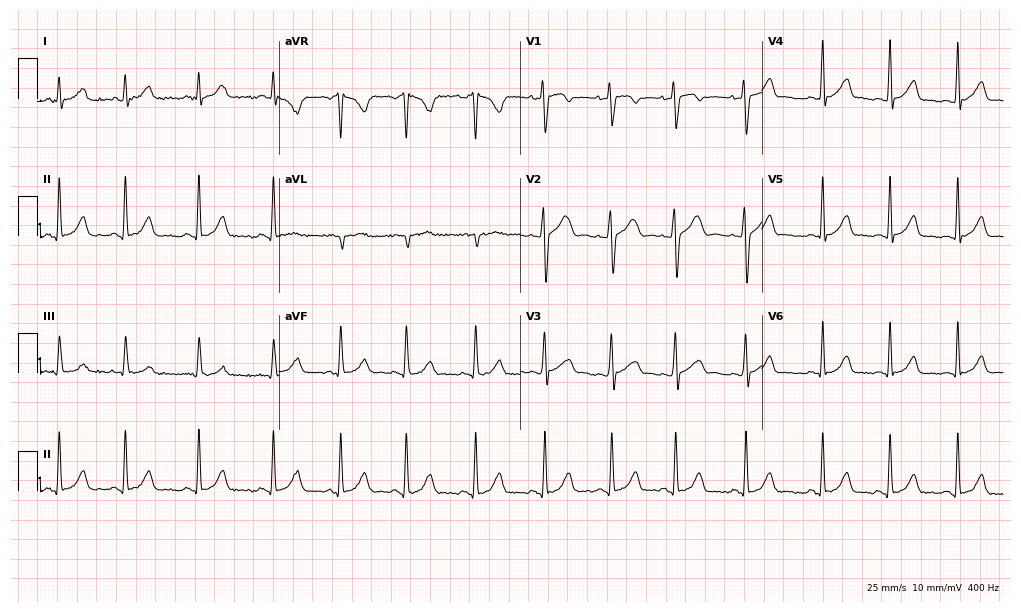
12-lead ECG (9.8-second recording at 400 Hz) from a female, 17 years old. Labelled as a normal ECG.